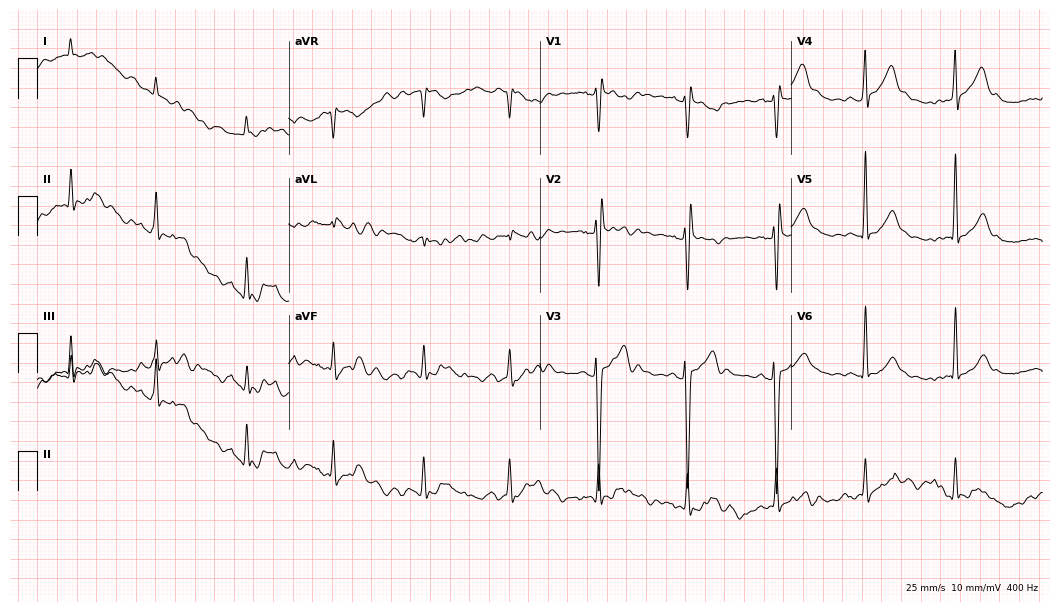
Resting 12-lead electrocardiogram (10.2-second recording at 400 Hz). Patient: a man, 28 years old. None of these six findings is recorded: first-degree AV block, right bundle branch block, left bundle branch block, sinus bradycardia, atrial fibrillation, sinus tachycardia.